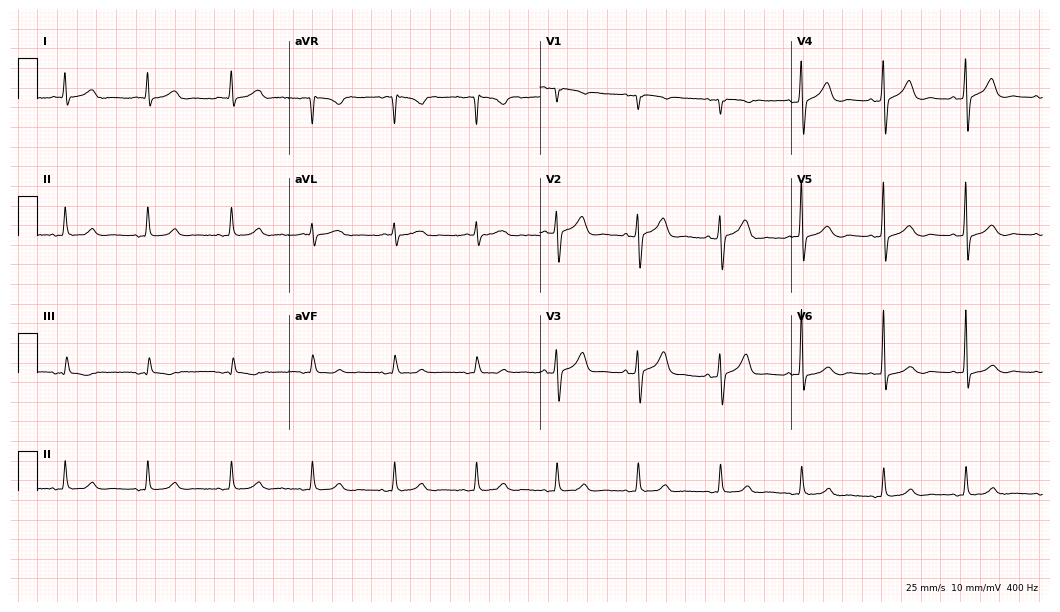
Electrocardiogram (10.2-second recording at 400 Hz), a female patient, 80 years old. Overall reading on record: normal ECG.